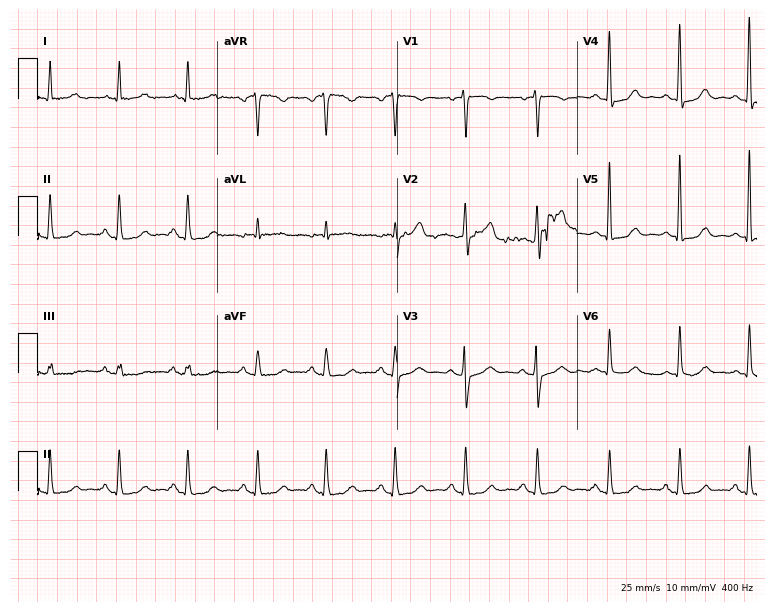
Standard 12-lead ECG recorded from a 75-year-old woman (7.3-second recording at 400 Hz). Read as a normal ECG.